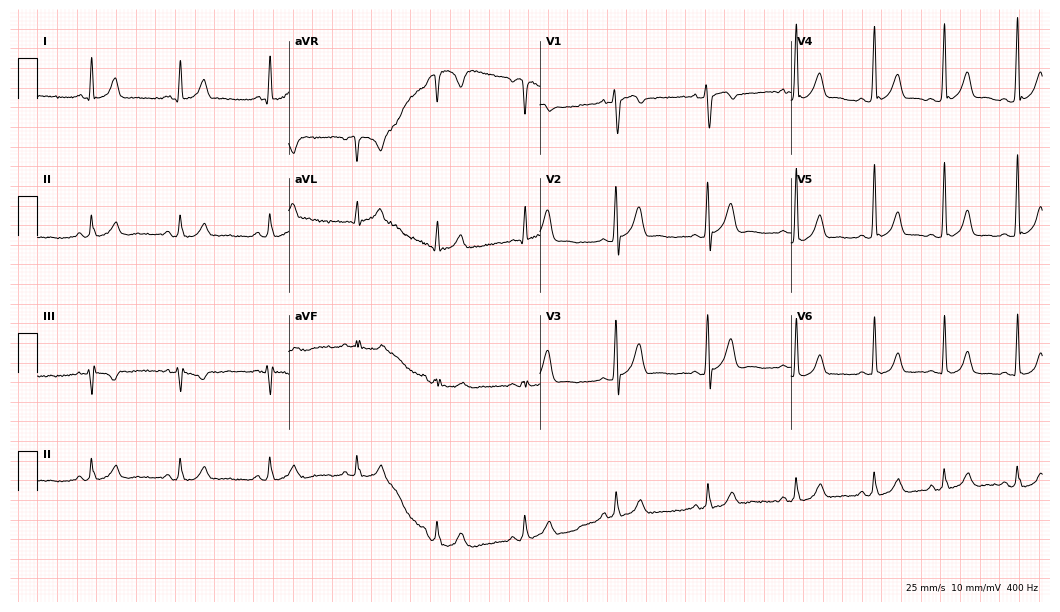
Electrocardiogram, a man, 32 years old. Of the six screened findings (first-degree AV block, right bundle branch block, left bundle branch block, sinus bradycardia, atrial fibrillation, sinus tachycardia), none is recorded. Other findings, if any, are not listed.